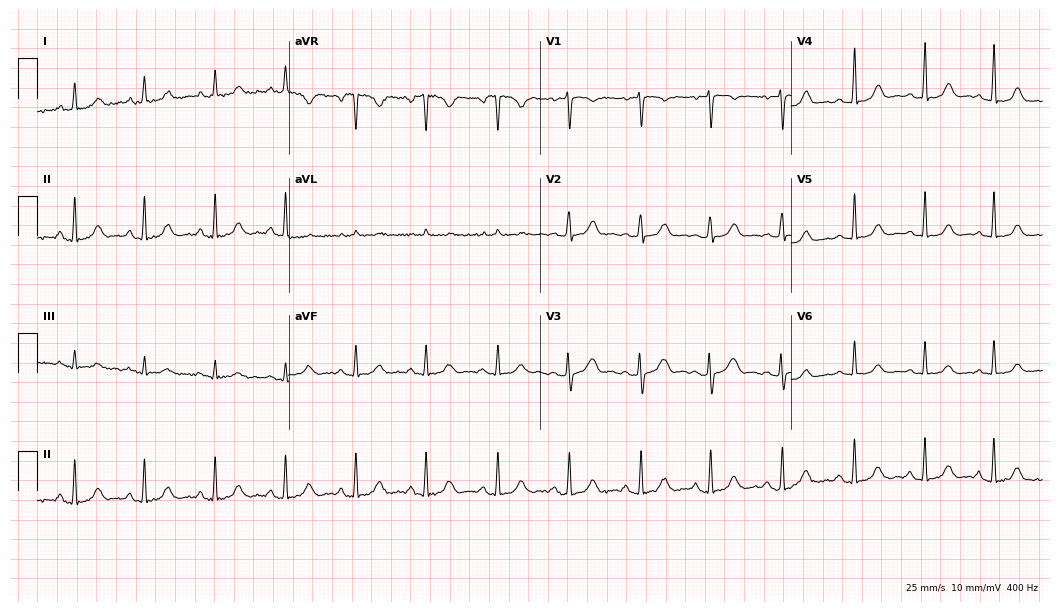
12-lead ECG (10.2-second recording at 400 Hz) from a 38-year-old female patient. Labelled as a normal ECG.